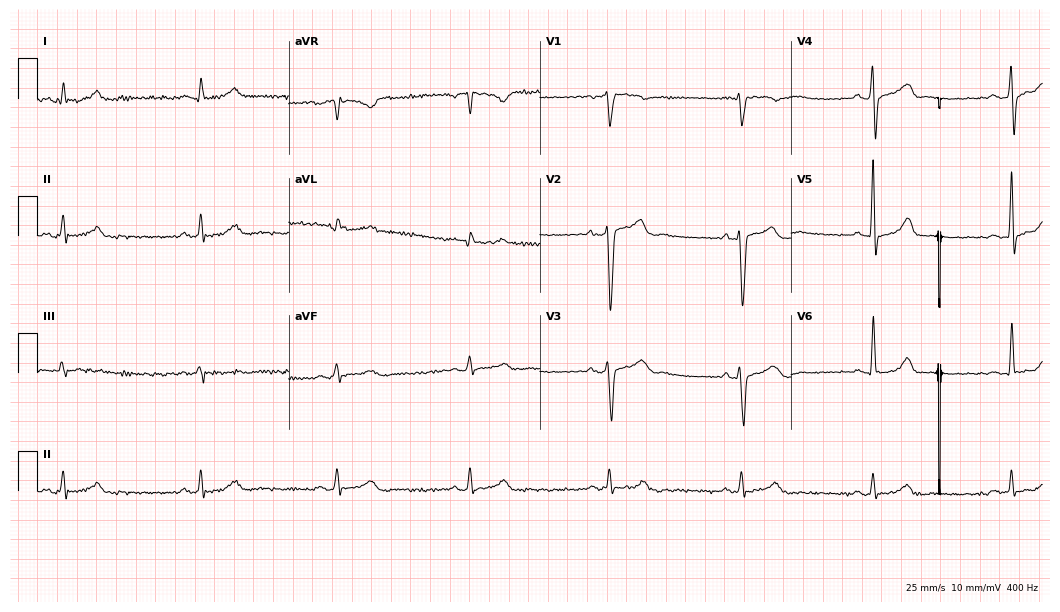
Electrocardiogram, a female, 80 years old. Interpretation includes sinus bradycardia (a sinus rate of 50 beats per minute or less).